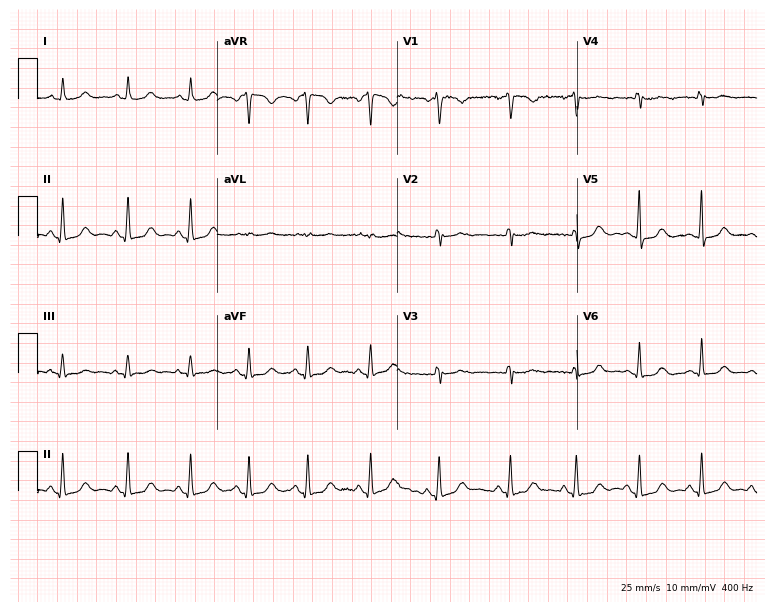
Resting 12-lead electrocardiogram (7.3-second recording at 400 Hz). Patient: a woman, 59 years old. Read as a normal ECG.